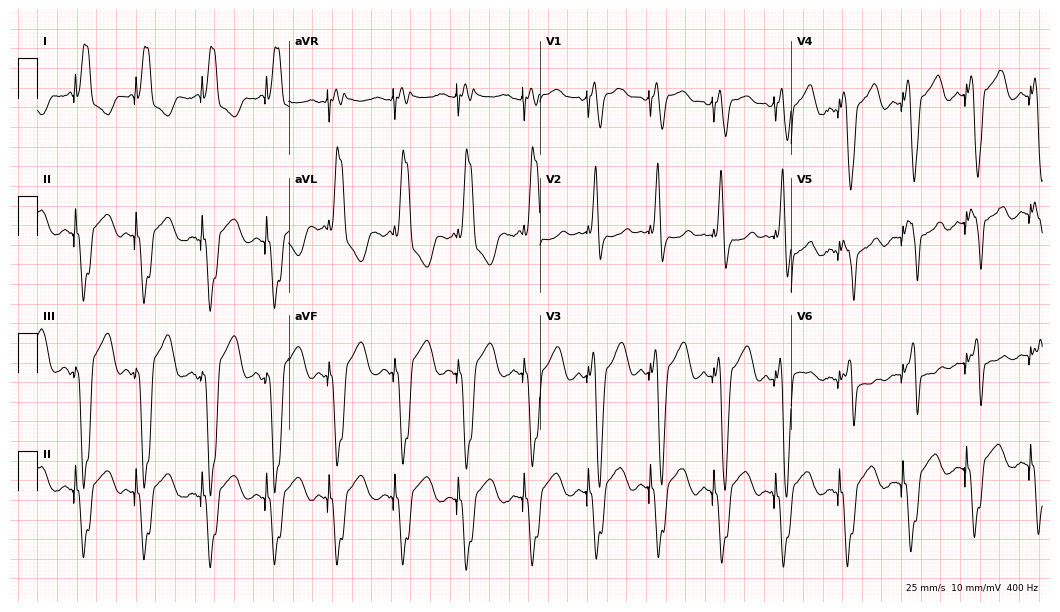
Electrocardiogram, an 80-year-old male. Of the six screened findings (first-degree AV block, right bundle branch block, left bundle branch block, sinus bradycardia, atrial fibrillation, sinus tachycardia), none is recorded. Findings outside these six are not listed.